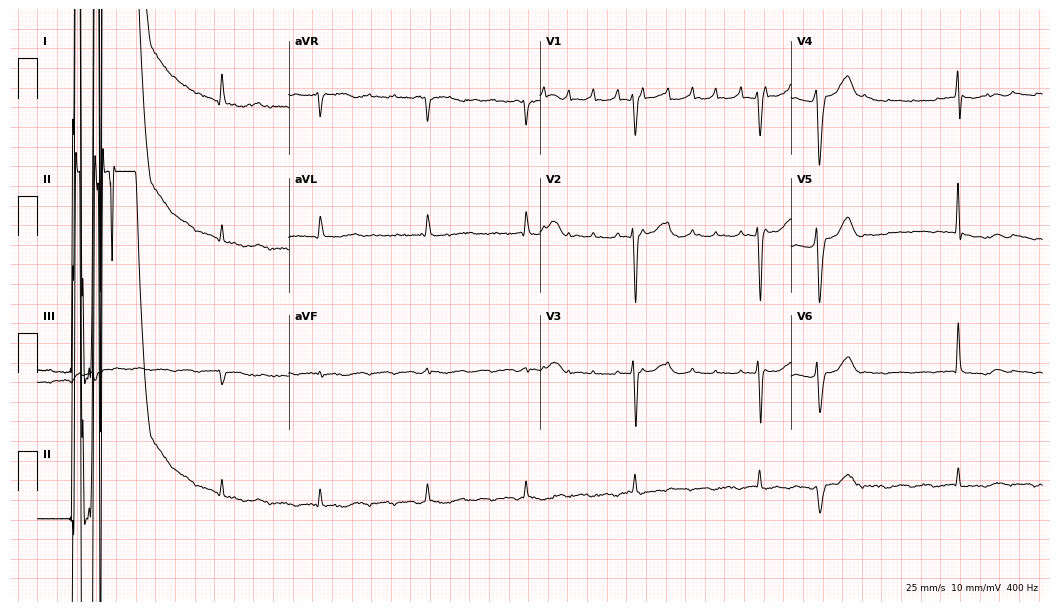
Electrocardiogram (10.2-second recording at 400 Hz), a man, 81 years old. Of the six screened findings (first-degree AV block, right bundle branch block, left bundle branch block, sinus bradycardia, atrial fibrillation, sinus tachycardia), none is recorded. Findings outside these six are not listed.